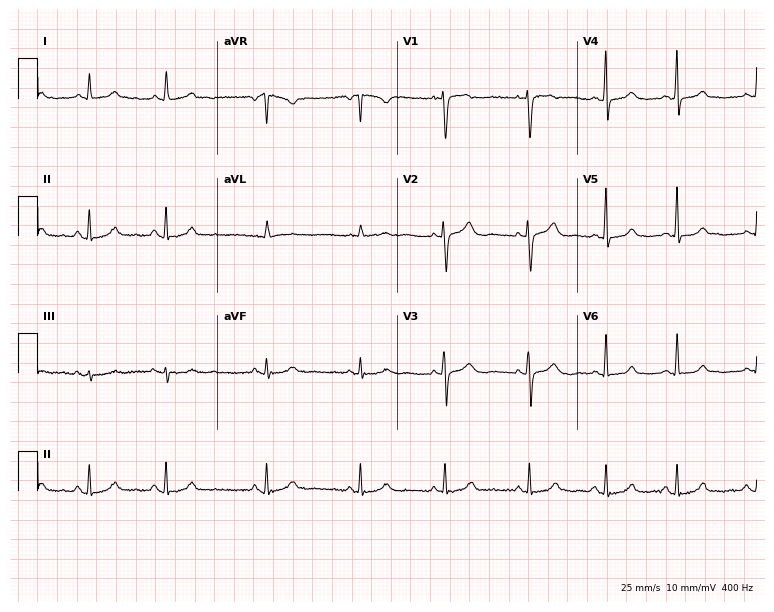
Standard 12-lead ECG recorded from a woman, 46 years old. None of these six findings is recorded: first-degree AV block, right bundle branch block (RBBB), left bundle branch block (LBBB), sinus bradycardia, atrial fibrillation (AF), sinus tachycardia. Only these six findings were labelled.